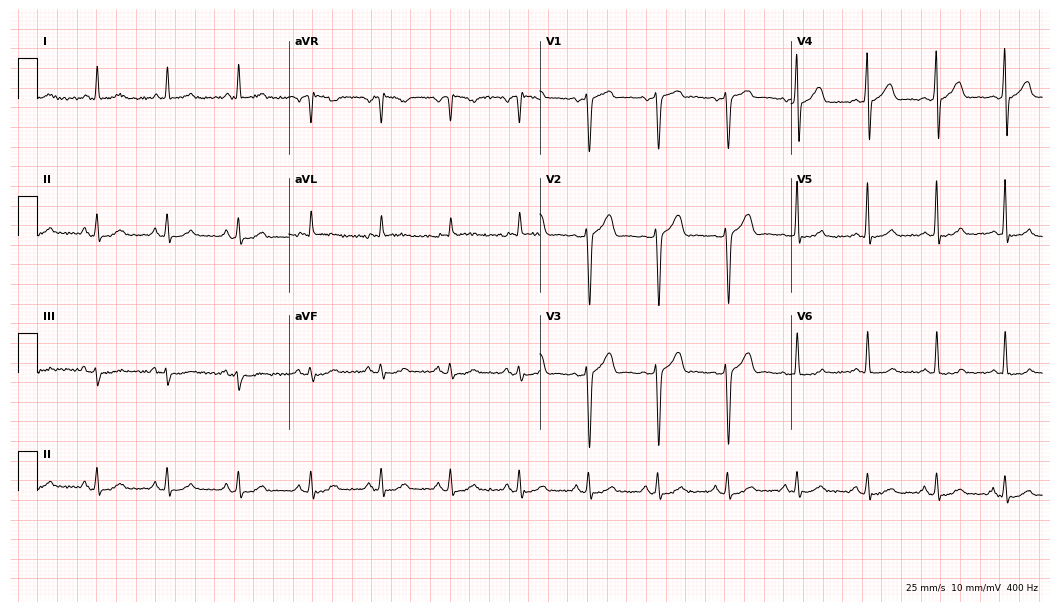
12-lead ECG (10.2-second recording at 400 Hz) from a man, 37 years old. Screened for six findings — first-degree AV block, right bundle branch block, left bundle branch block, sinus bradycardia, atrial fibrillation, sinus tachycardia — none is recorded.